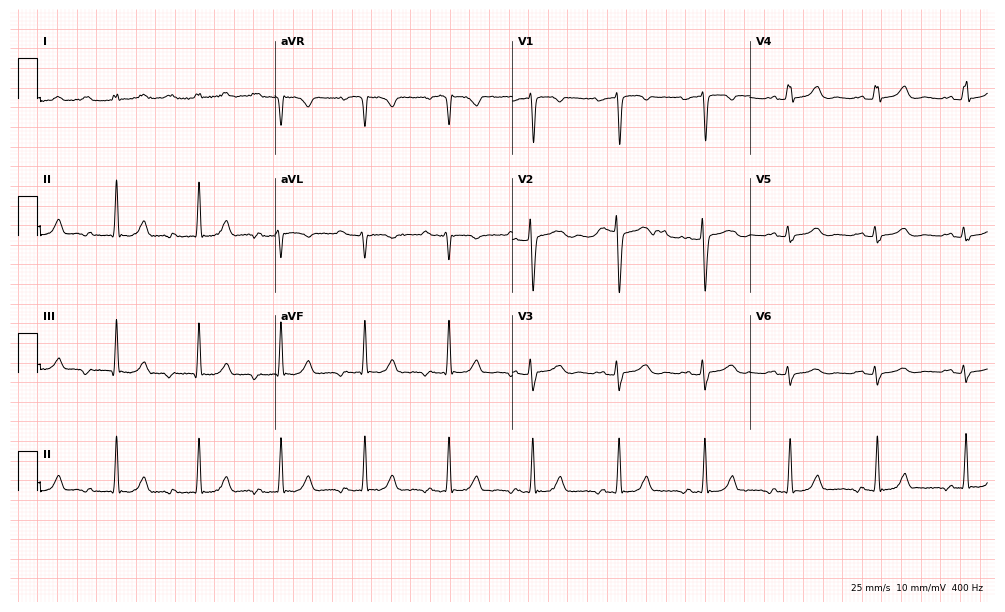
12-lead ECG from a female patient, 29 years old. No first-degree AV block, right bundle branch block, left bundle branch block, sinus bradycardia, atrial fibrillation or sinus tachycardia recorded for this tracing.